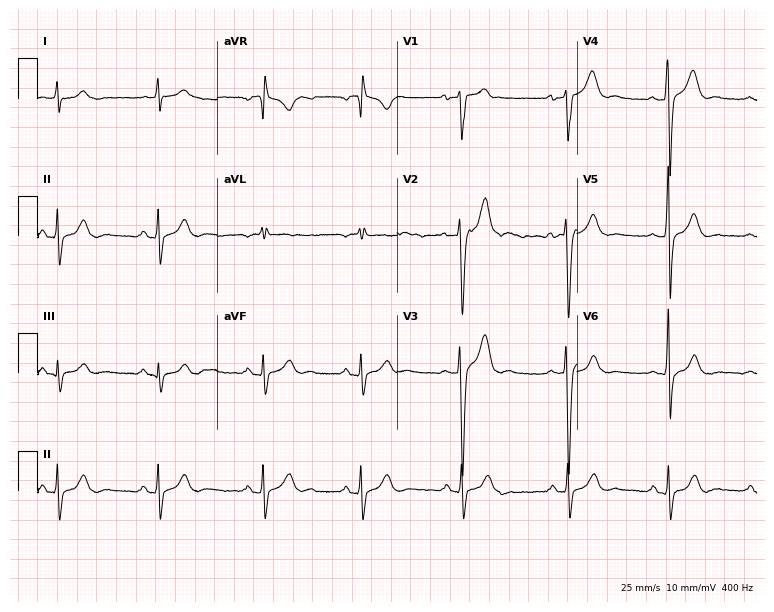
ECG — a 24-year-old male patient. Labelled as a normal ECG.